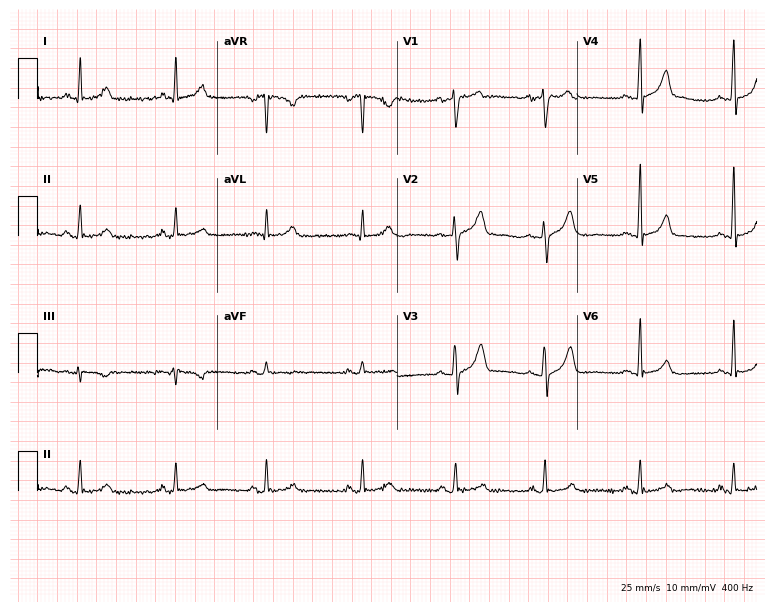
Resting 12-lead electrocardiogram. Patient: a woman, 50 years old. Read as a normal ECG.